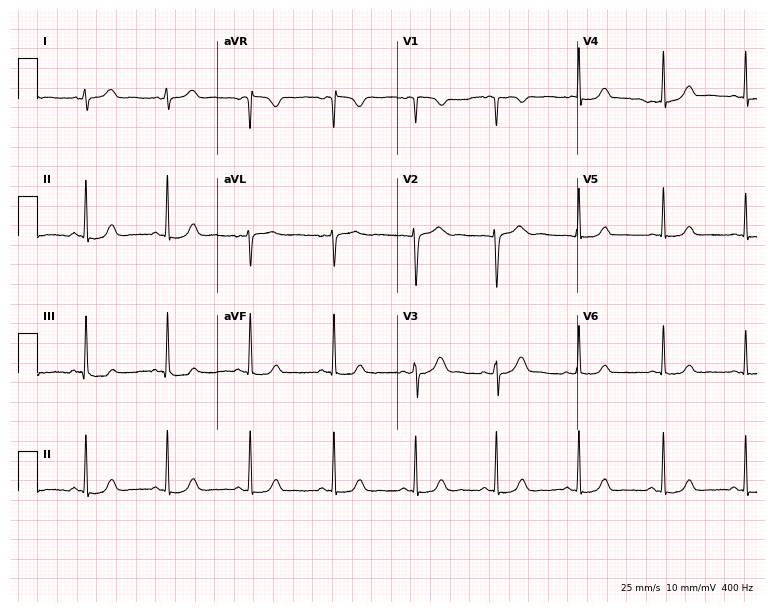
12-lead ECG from a woman, 26 years old. No first-degree AV block, right bundle branch block (RBBB), left bundle branch block (LBBB), sinus bradycardia, atrial fibrillation (AF) or sinus tachycardia recorded for this tracing.